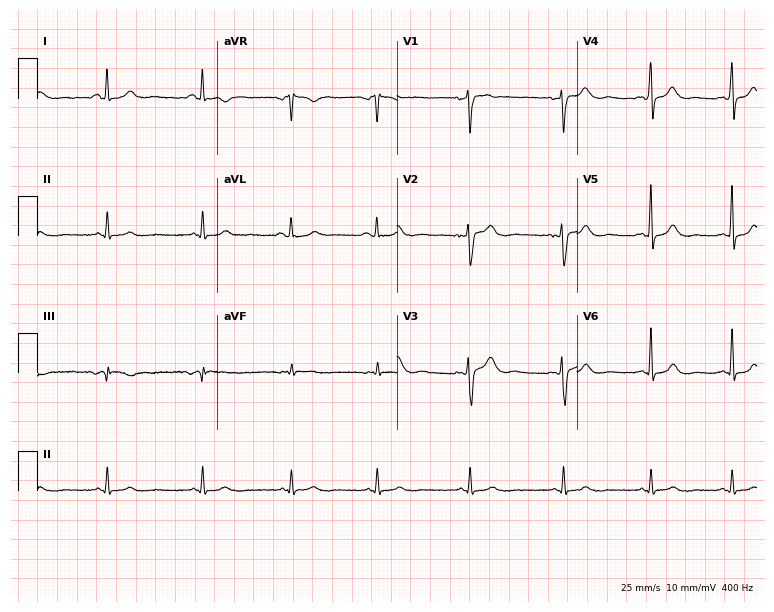
Resting 12-lead electrocardiogram. Patient: a female, 38 years old. Read as a normal ECG.